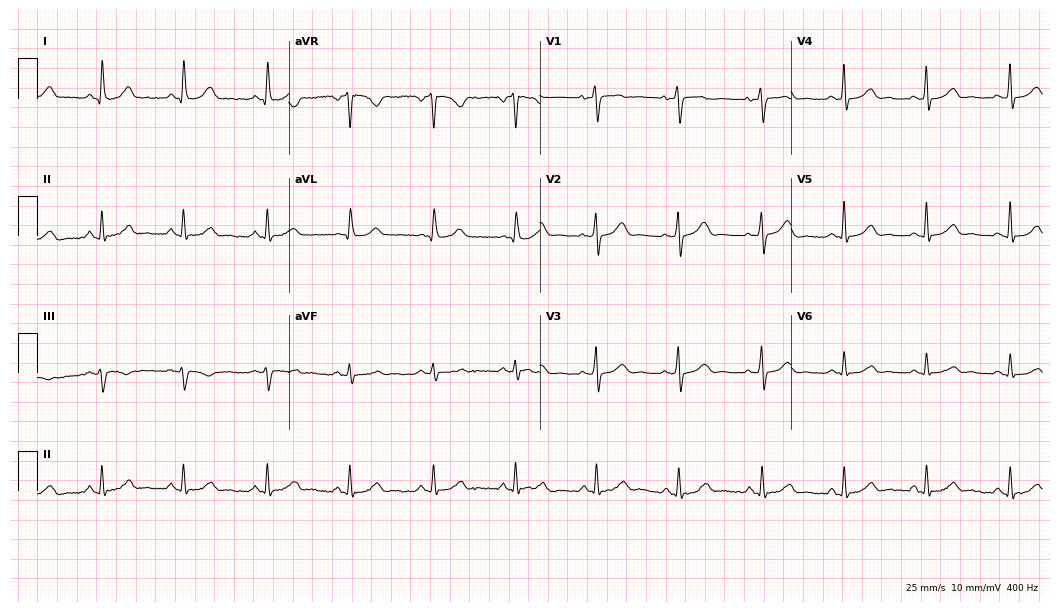
12-lead ECG from a female patient, 67 years old. Labelled as a normal ECG.